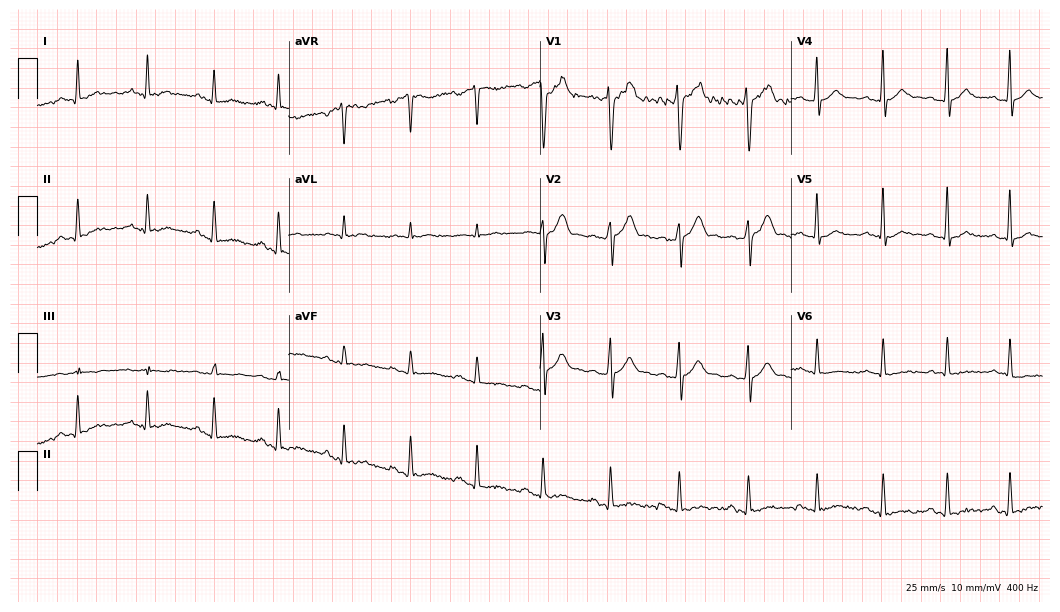
ECG (10.2-second recording at 400 Hz) — a 30-year-old male patient. Screened for six findings — first-degree AV block, right bundle branch block, left bundle branch block, sinus bradycardia, atrial fibrillation, sinus tachycardia — none is recorded. Other findings, if any, are not listed.